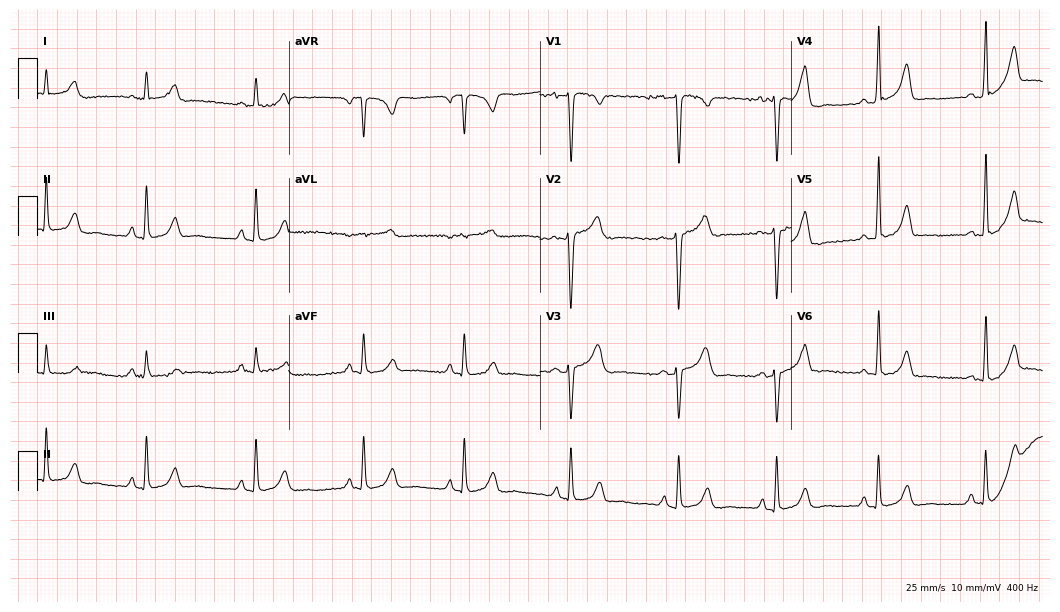
ECG — a female patient, 35 years old. Screened for six findings — first-degree AV block, right bundle branch block, left bundle branch block, sinus bradycardia, atrial fibrillation, sinus tachycardia — none is recorded.